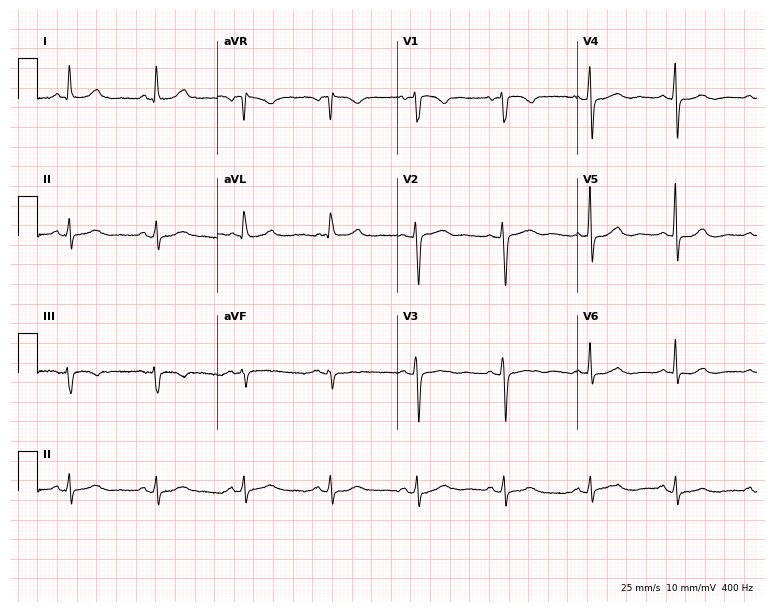
12-lead ECG from an 81-year-old female. No first-degree AV block, right bundle branch block, left bundle branch block, sinus bradycardia, atrial fibrillation or sinus tachycardia recorded for this tracing. Findings outside these six are not listed.